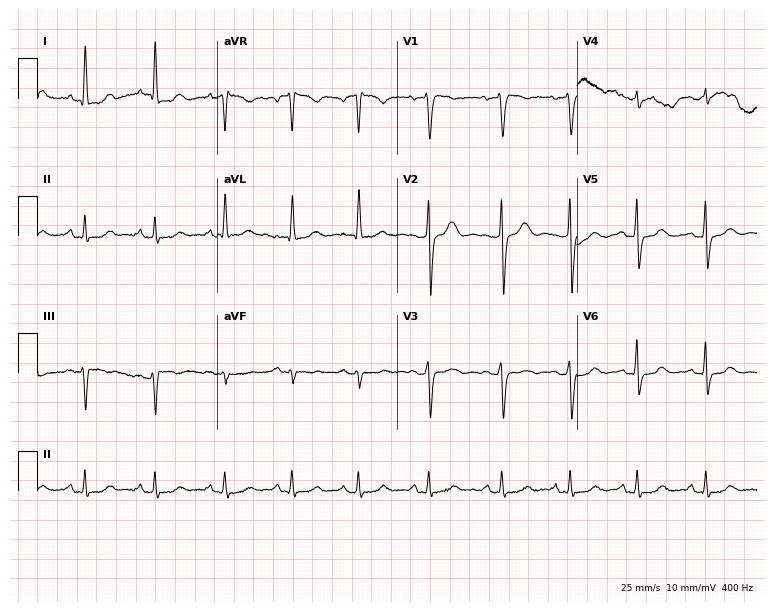
Standard 12-lead ECG recorded from a female, 53 years old. None of these six findings is recorded: first-degree AV block, right bundle branch block, left bundle branch block, sinus bradycardia, atrial fibrillation, sinus tachycardia.